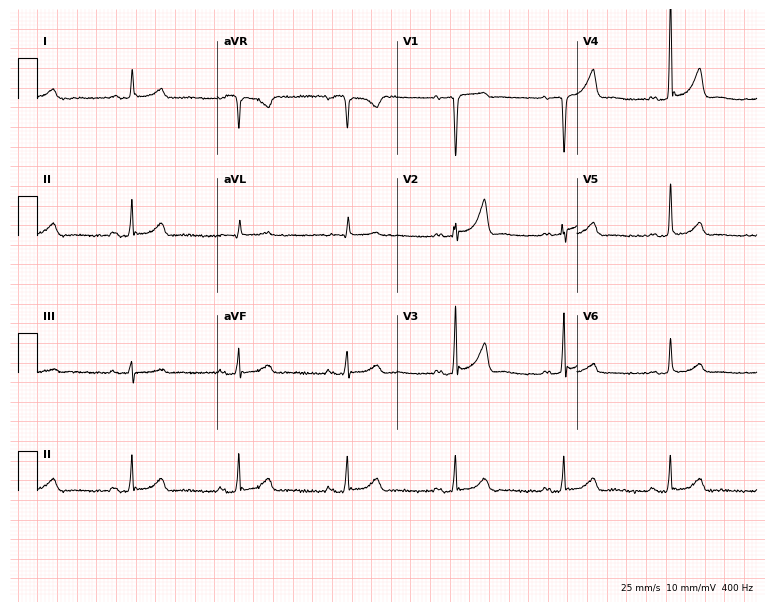
Electrocardiogram, a 79-year-old man. Of the six screened findings (first-degree AV block, right bundle branch block (RBBB), left bundle branch block (LBBB), sinus bradycardia, atrial fibrillation (AF), sinus tachycardia), none is recorded. Findings outside these six are not listed.